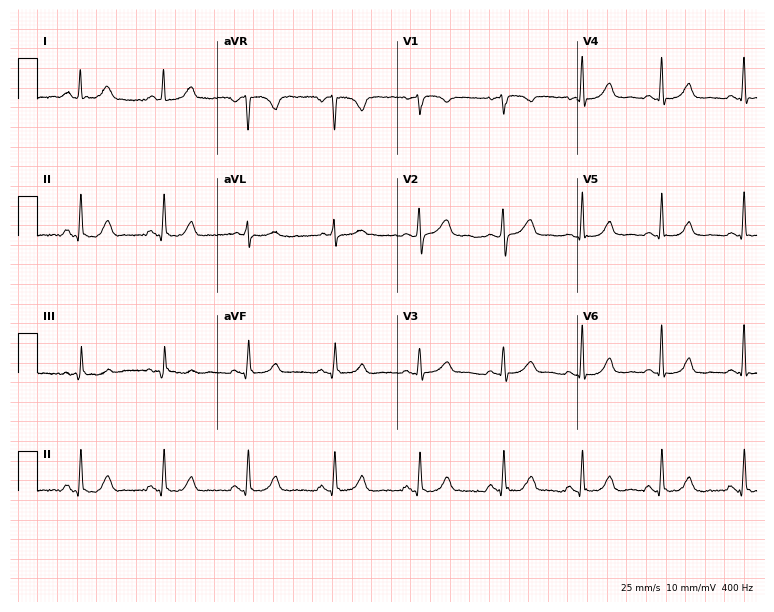
Resting 12-lead electrocardiogram (7.3-second recording at 400 Hz). Patient: a 63-year-old female. Read as a normal ECG.